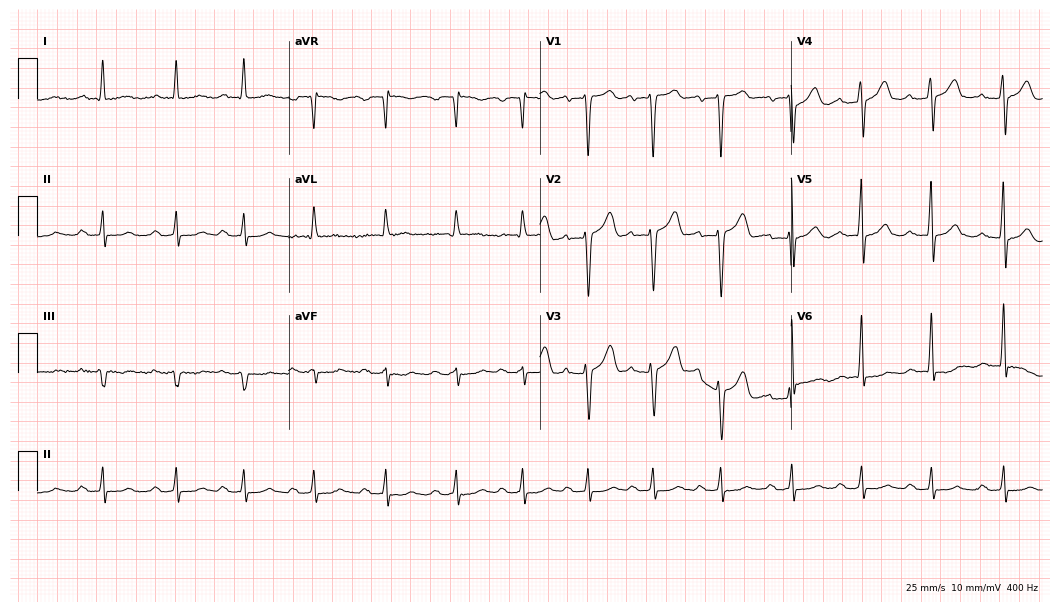
Standard 12-lead ECG recorded from a man, 69 years old (10.2-second recording at 400 Hz). The tracing shows first-degree AV block.